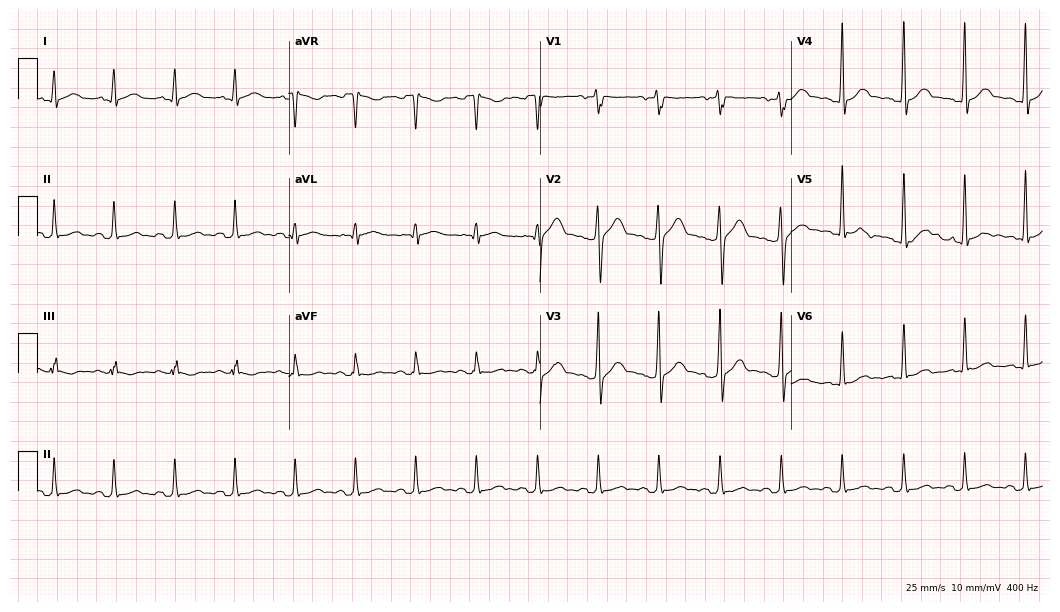
12-lead ECG from a 32-year-old male. Labelled as a normal ECG.